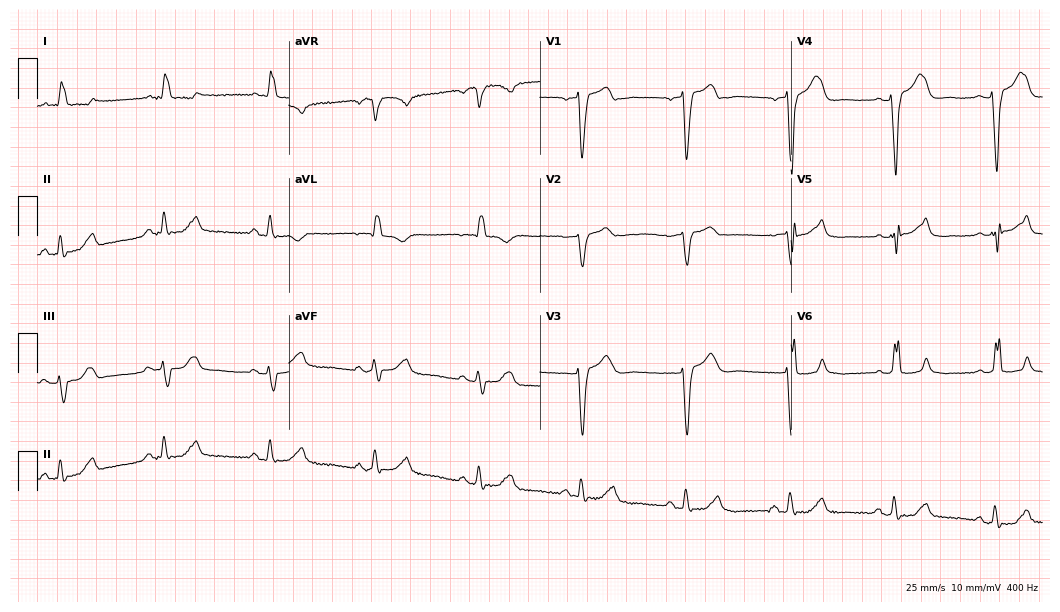
Standard 12-lead ECG recorded from a female, 80 years old (10.2-second recording at 400 Hz). None of these six findings is recorded: first-degree AV block, right bundle branch block, left bundle branch block, sinus bradycardia, atrial fibrillation, sinus tachycardia. Other findings, if any, are not listed.